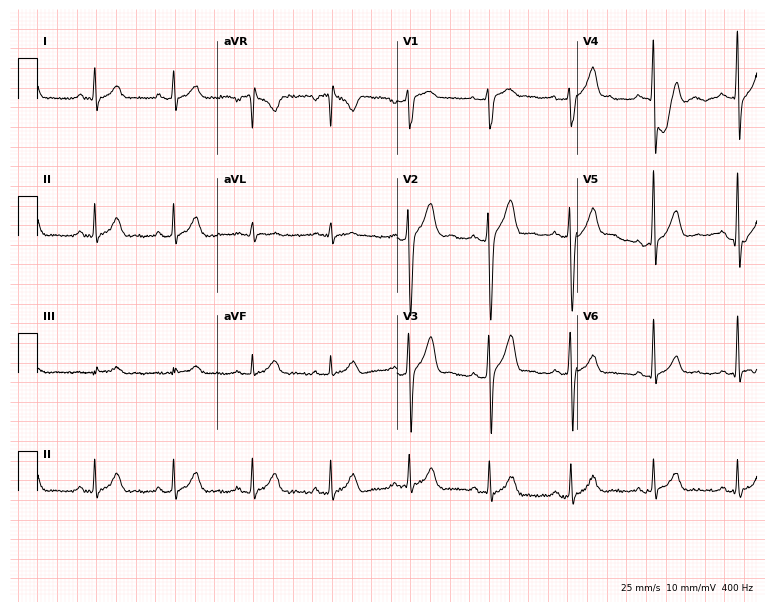
12-lead ECG from a male, 28 years old. No first-degree AV block, right bundle branch block, left bundle branch block, sinus bradycardia, atrial fibrillation or sinus tachycardia recorded for this tracing.